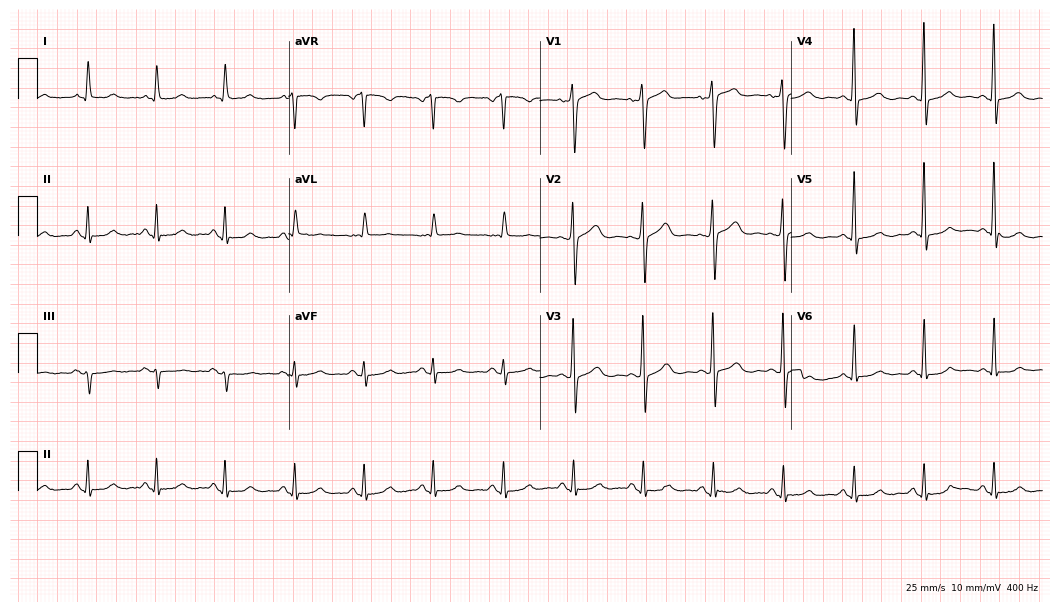
12-lead ECG from a 76-year-old female patient. Screened for six findings — first-degree AV block, right bundle branch block (RBBB), left bundle branch block (LBBB), sinus bradycardia, atrial fibrillation (AF), sinus tachycardia — none is recorded.